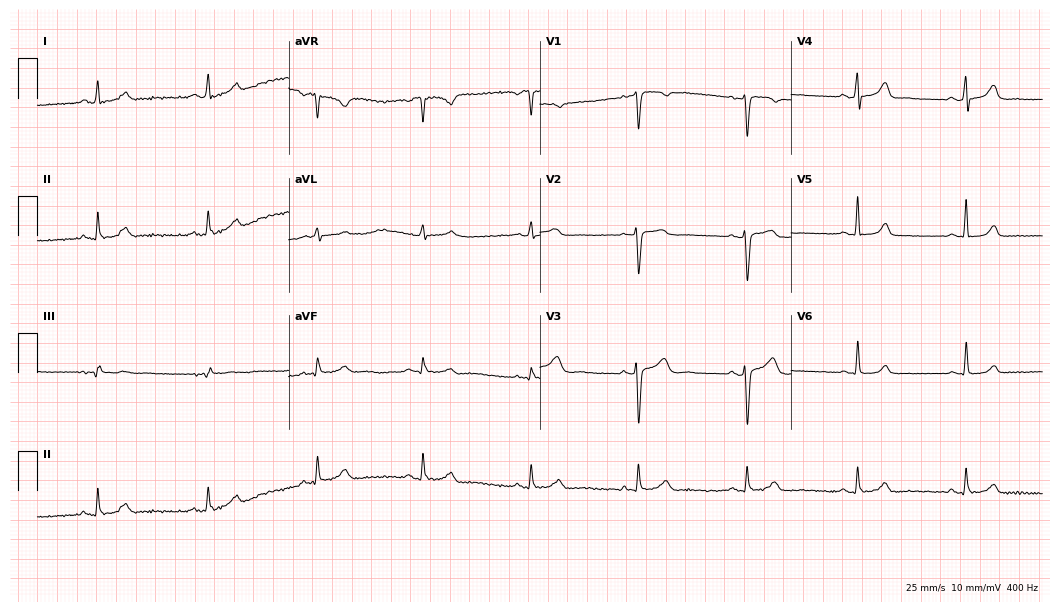
12-lead ECG from a female patient, 36 years old. Screened for six findings — first-degree AV block, right bundle branch block, left bundle branch block, sinus bradycardia, atrial fibrillation, sinus tachycardia — none is recorded.